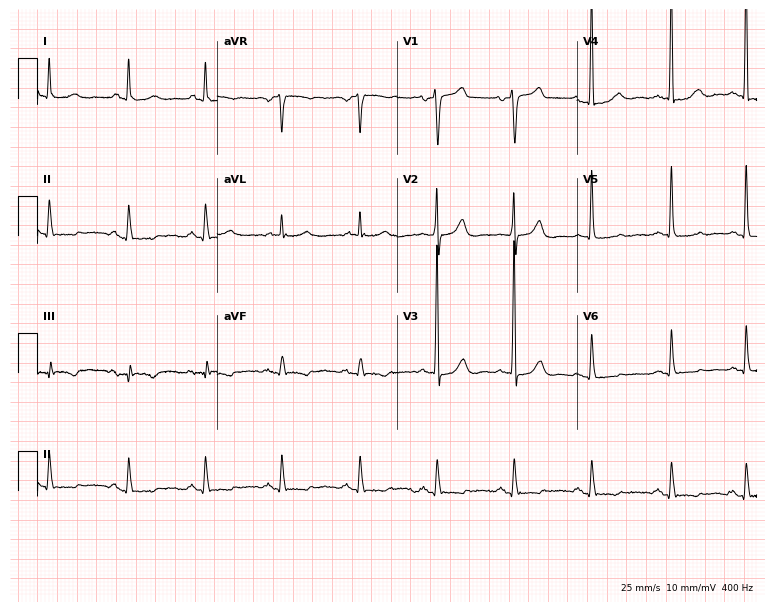
Resting 12-lead electrocardiogram. Patient: a 73-year-old male. None of these six findings is recorded: first-degree AV block, right bundle branch block, left bundle branch block, sinus bradycardia, atrial fibrillation, sinus tachycardia. Only these six findings were labelled.